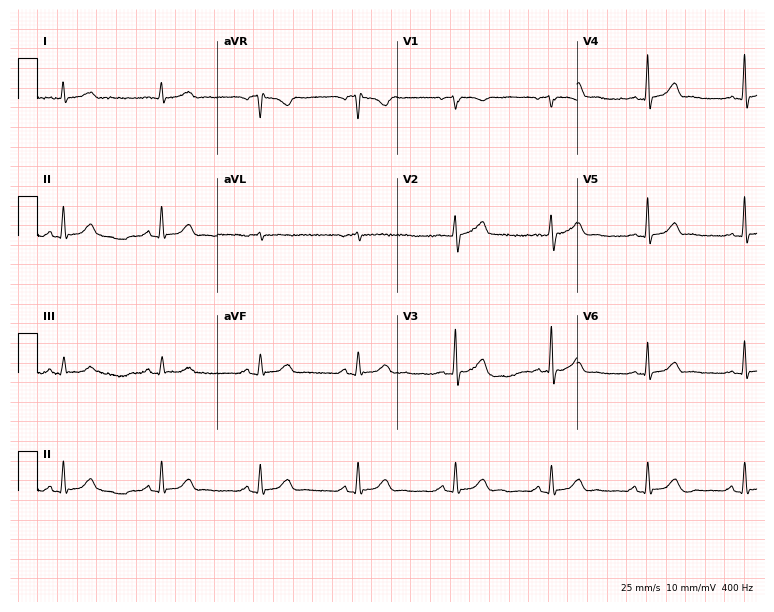
Standard 12-lead ECG recorded from a 70-year-old male patient. Read as a normal ECG.